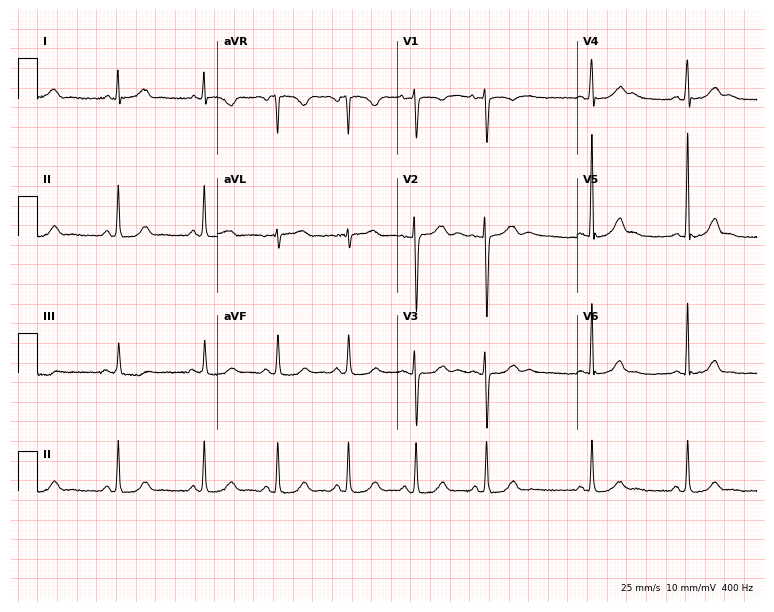
ECG — a female, 43 years old. Labelled as a normal ECG.